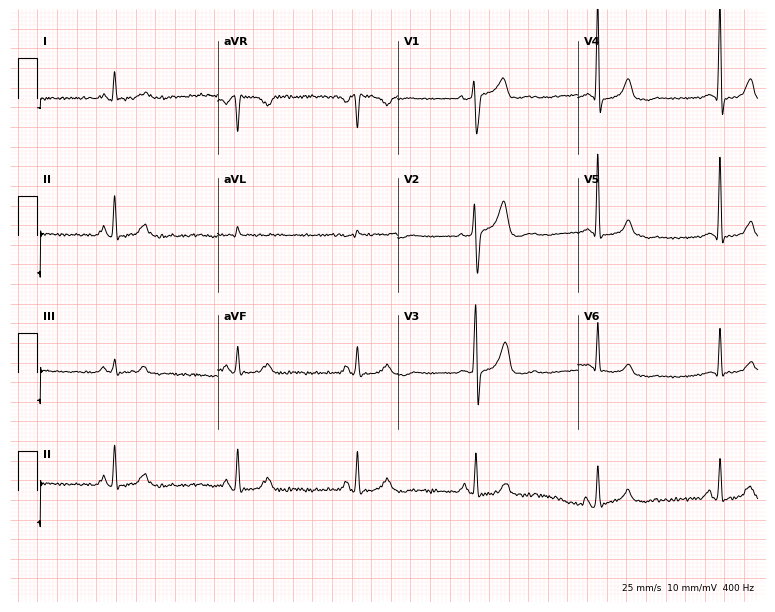
Standard 12-lead ECG recorded from a 64-year-old male. Read as a normal ECG.